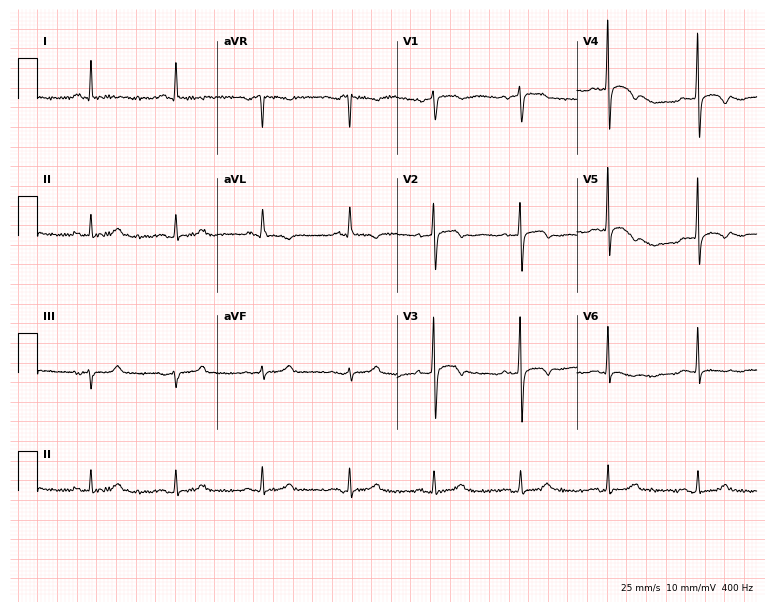
Resting 12-lead electrocardiogram (7.3-second recording at 400 Hz). Patient: a female, 67 years old. None of these six findings is recorded: first-degree AV block, right bundle branch block (RBBB), left bundle branch block (LBBB), sinus bradycardia, atrial fibrillation (AF), sinus tachycardia.